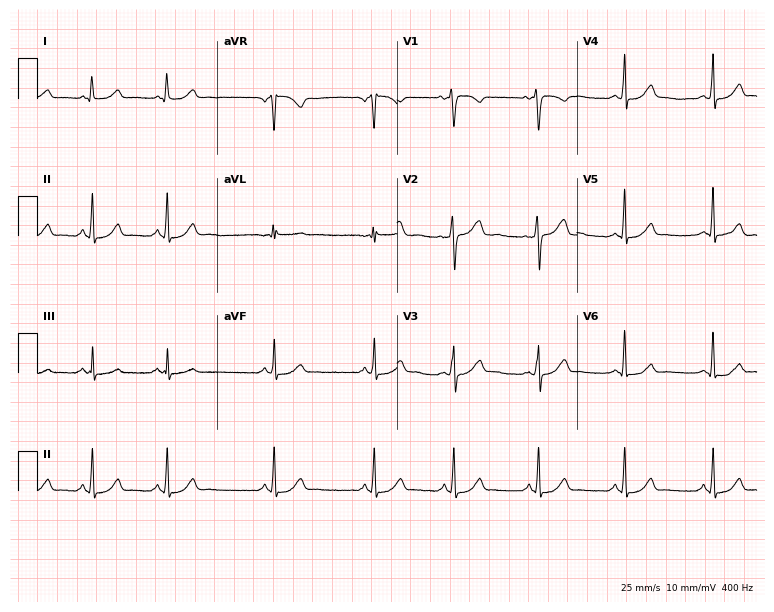
Standard 12-lead ECG recorded from a female, 41 years old. Read as a normal ECG.